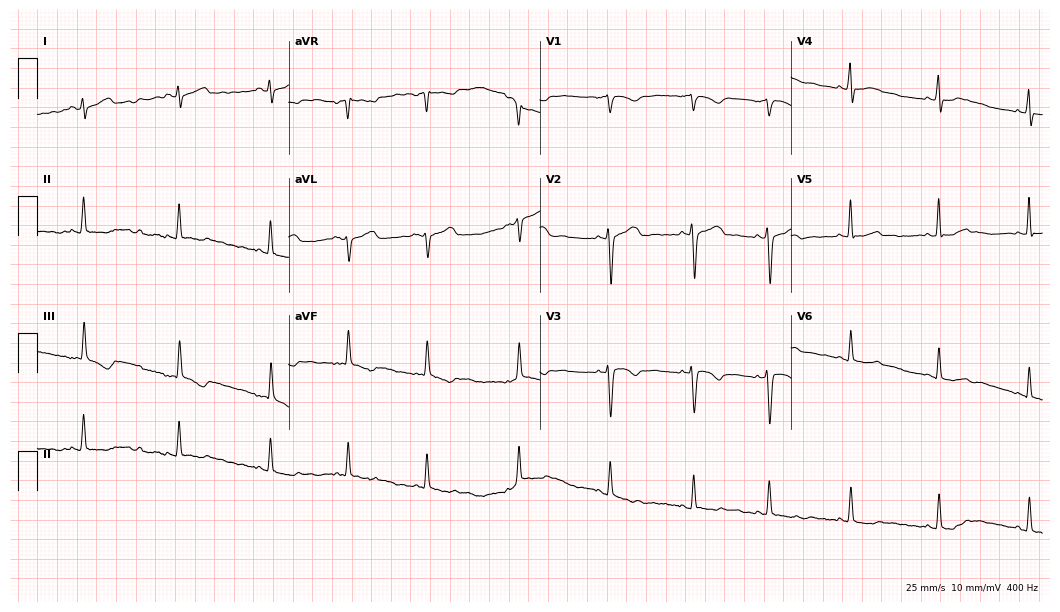
Electrocardiogram, a 24-year-old female. Of the six screened findings (first-degree AV block, right bundle branch block, left bundle branch block, sinus bradycardia, atrial fibrillation, sinus tachycardia), none is recorded.